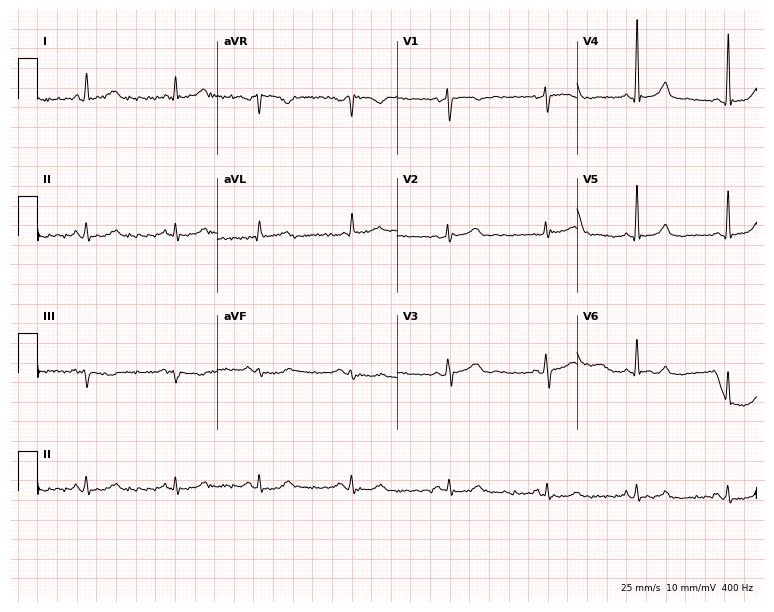
12-lead ECG from a 41-year-old female patient. No first-degree AV block, right bundle branch block (RBBB), left bundle branch block (LBBB), sinus bradycardia, atrial fibrillation (AF) or sinus tachycardia recorded for this tracing.